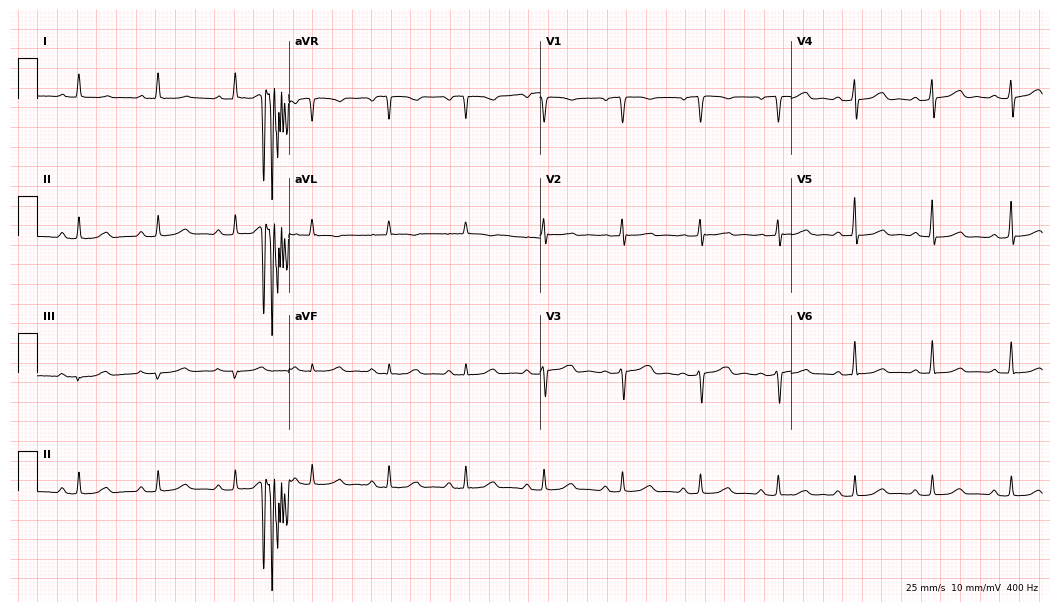
ECG — a 46-year-old female patient. Labelled as a normal ECG.